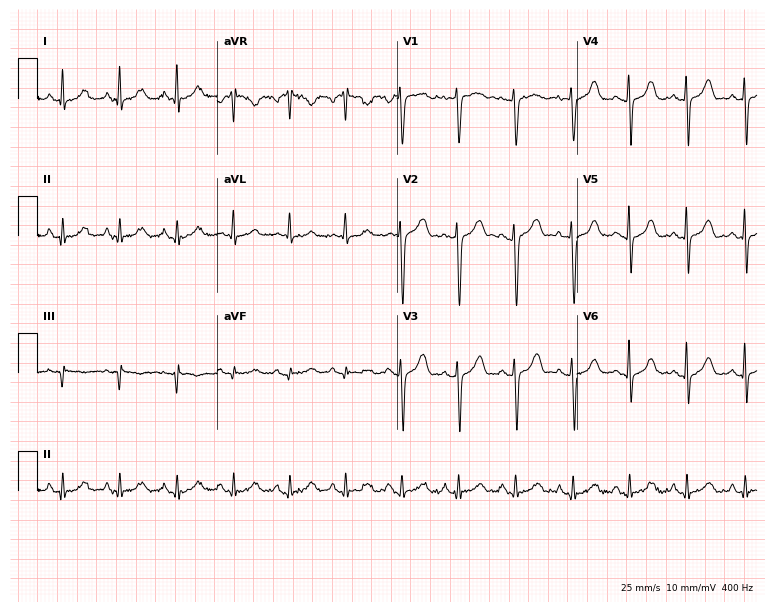
12-lead ECG from a woman, 42 years old (7.3-second recording at 400 Hz). Shows sinus tachycardia (a sinus rate of 100 beats per minute or more).